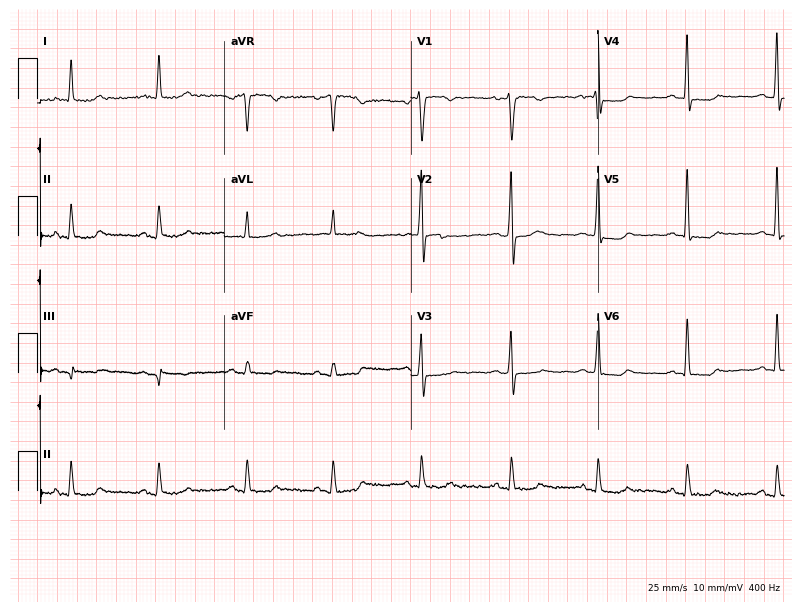
Resting 12-lead electrocardiogram (7.6-second recording at 400 Hz). Patient: a female, 59 years old. None of these six findings is recorded: first-degree AV block, right bundle branch block, left bundle branch block, sinus bradycardia, atrial fibrillation, sinus tachycardia.